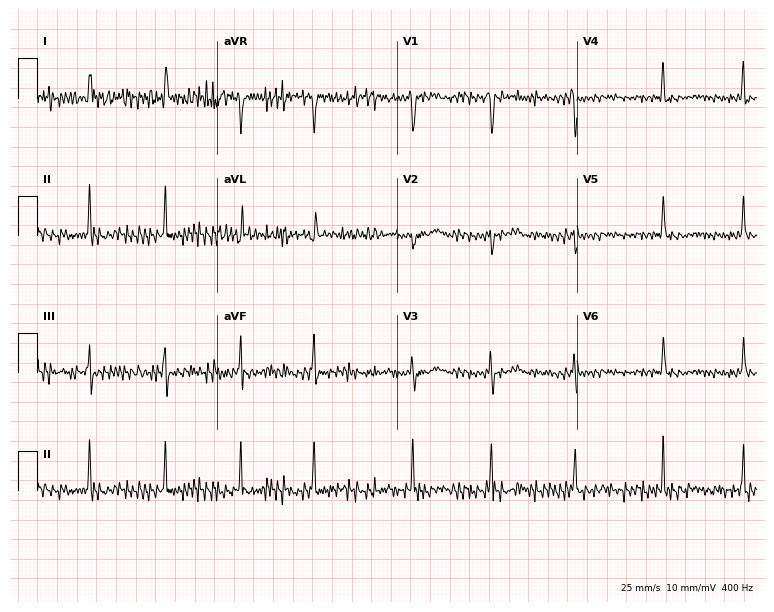
Resting 12-lead electrocardiogram. Patient: a female, 77 years old. None of these six findings is recorded: first-degree AV block, right bundle branch block (RBBB), left bundle branch block (LBBB), sinus bradycardia, atrial fibrillation (AF), sinus tachycardia. Only these six findings were labelled.